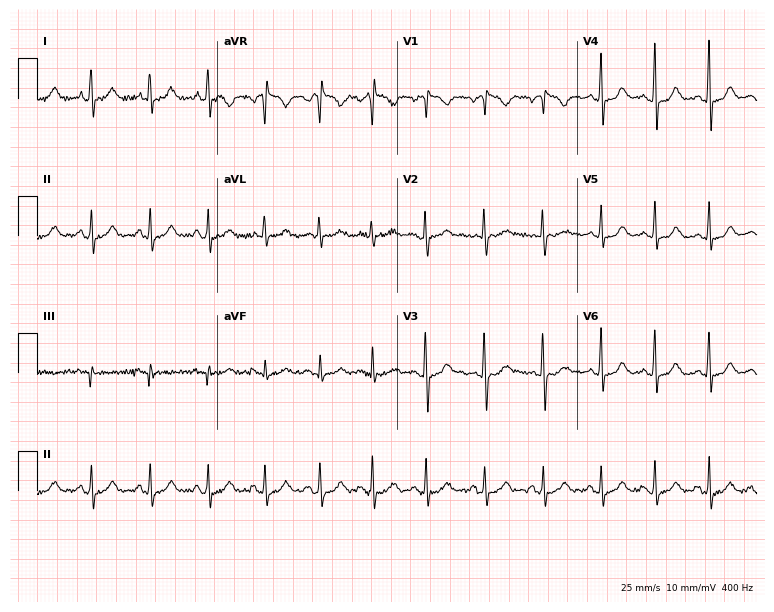
12-lead ECG from a female, 21 years old (7.3-second recording at 400 Hz). No first-degree AV block, right bundle branch block, left bundle branch block, sinus bradycardia, atrial fibrillation or sinus tachycardia recorded for this tracing.